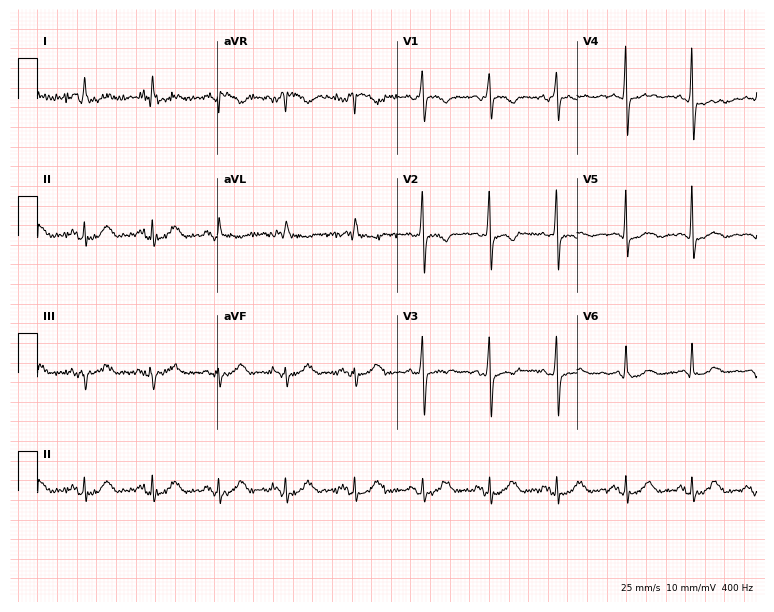
12-lead ECG from a woman, 73 years old (7.3-second recording at 400 Hz). No first-degree AV block, right bundle branch block (RBBB), left bundle branch block (LBBB), sinus bradycardia, atrial fibrillation (AF) or sinus tachycardia recorded for this tracing.